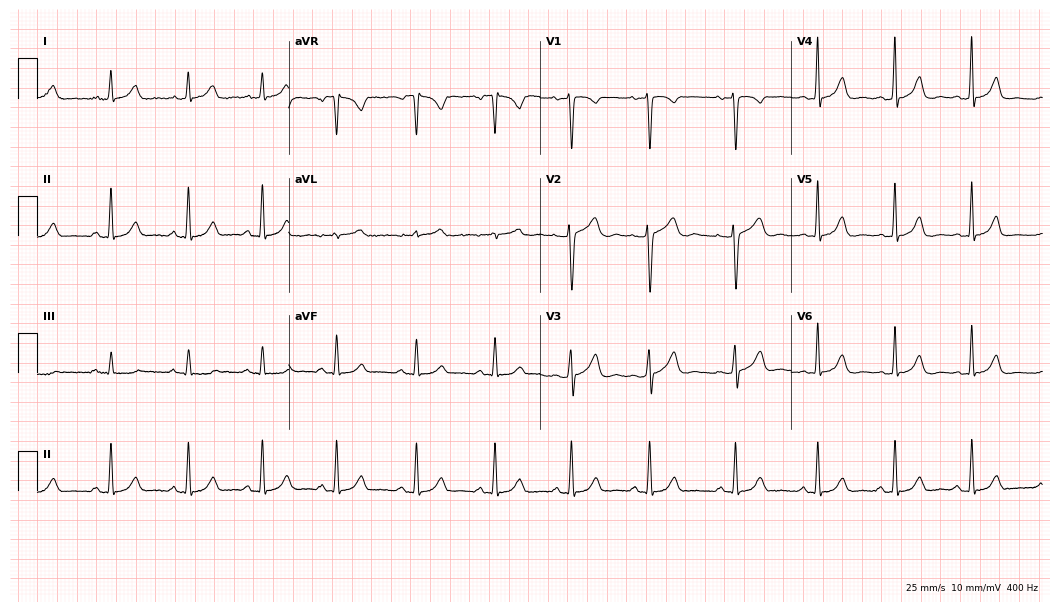
Resting 12-lead electrocardiogram (10.2-second recording at 400 Hz). Patient: a woman, 36 years old. Read as a normal ECG.